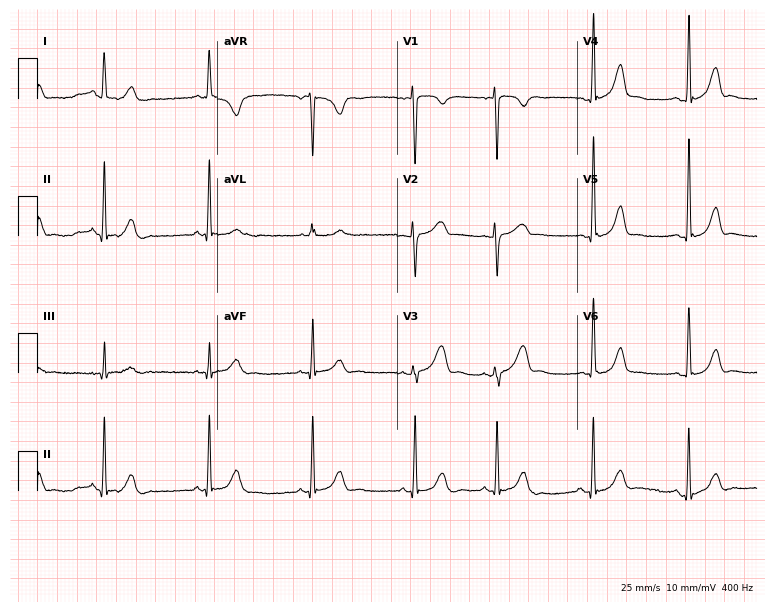
Resting 12-lead electrocardiogram. Patient: a woman, 33 years old. Read as a normal ECG.